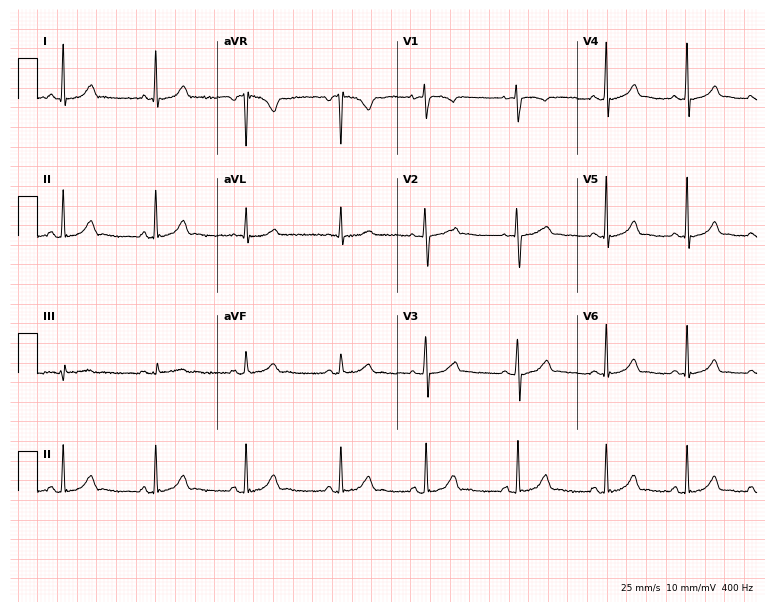
12-lead ECG from a male, 31 years old. Labelled as a normal ECG.